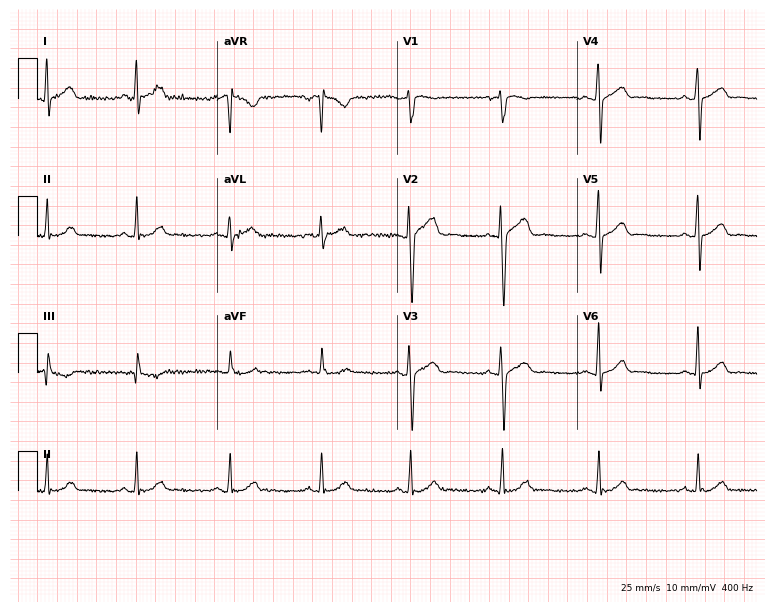
ECG — a female, 30 years old. Labelled as a normal ECG.